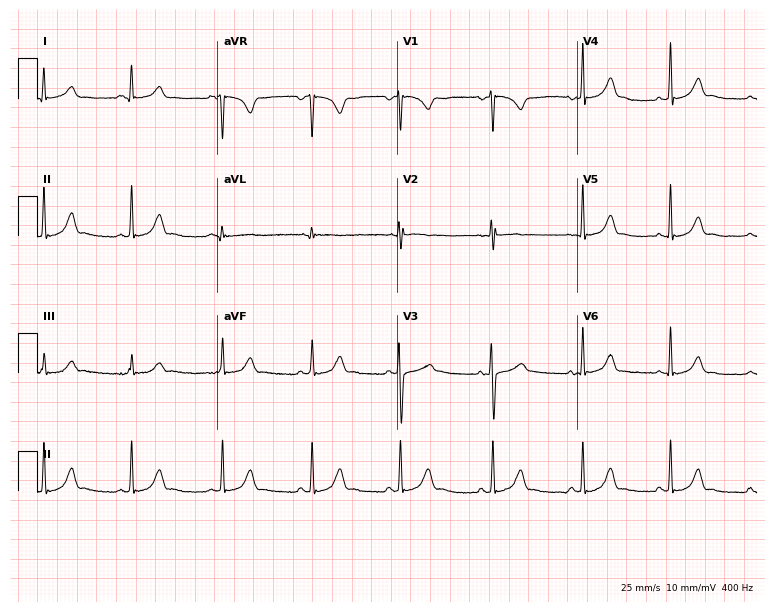
12-lead ECG from a female patient, 35 years old (7.3-second recording at 400 Hz). No first-degree AV block, right bundle branch block, left bundle branch block, sinus bradycardia, atrial fibrillation or sinus tachycardia recorded for this tracing. Other findings, if any, are not listed.